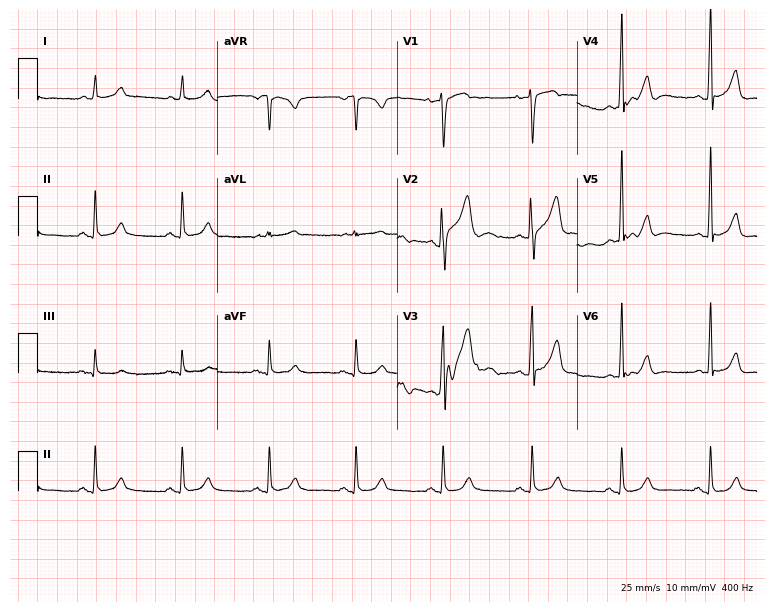
12-lead ECG from a male, 50 years old (7.3-second recording at 400 Hz). No first-degree AV block, right bundle branch block, left bundle branch block, sinus bradycardia, atrial fibrillation or sinus tachycardia recorded for this tracing.